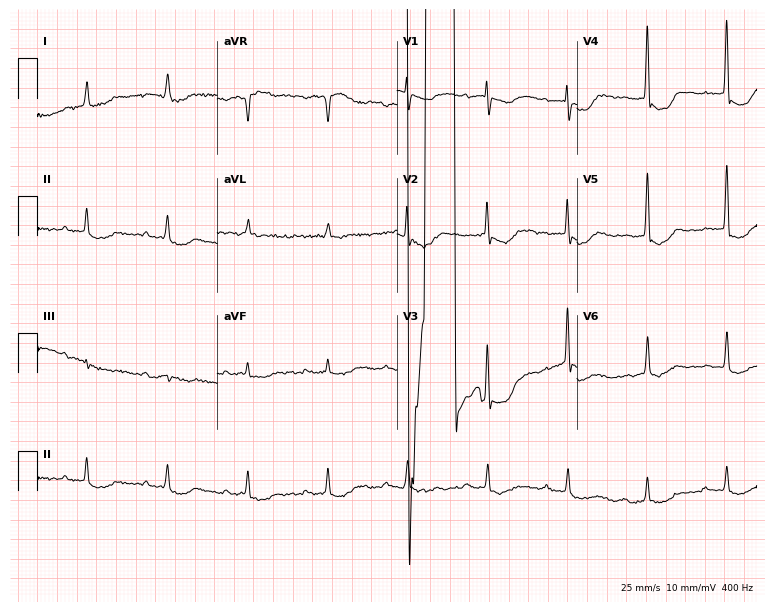
Resting 12-lead electrocardiogram. Patient: a female, 82 years old. None of these six findings is recorded: first-degree AV block, right bundle branch block, left bundle branch block, sinus bradycardia, atrial fibrillation, sinus tachycardia. Findings outside these six are not listed.